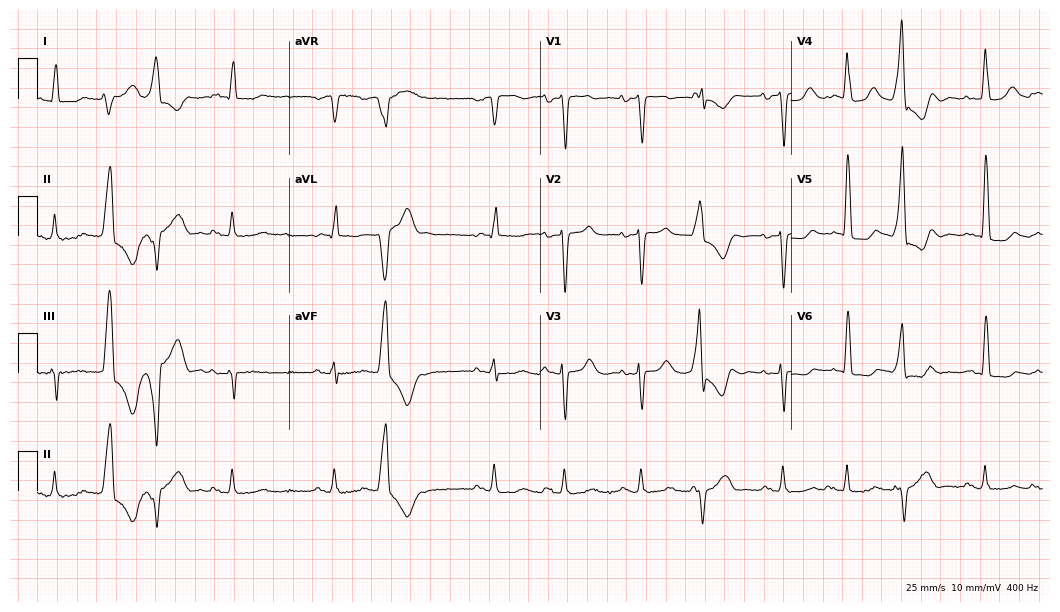
Electrocardiogram (10.2-second recording at 400 Hz), a 76-year-old man. Of the six screened findings (first-degree AV block, right bundle branch block, left bundle branch block, sinus bradycardia, atrial fibrillation, sinus tachycardia), none is recorded.